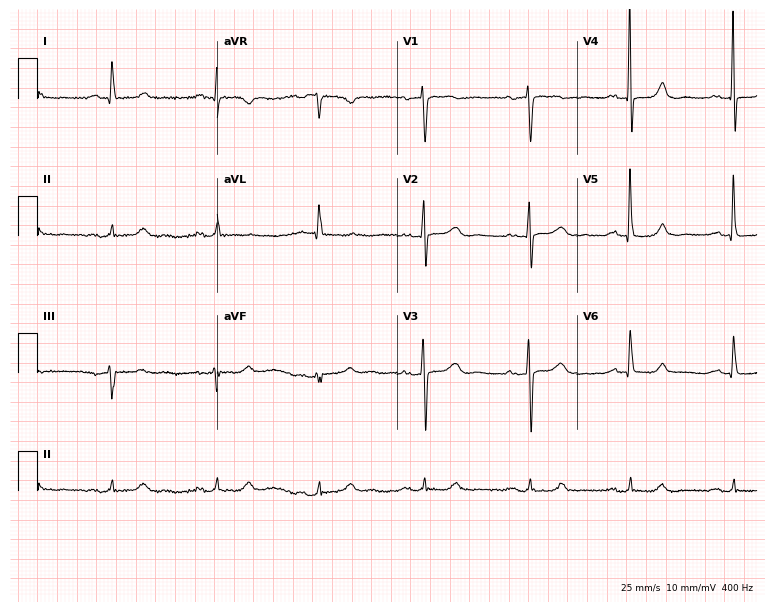
Electrocardiogram, a 70-year-old woman. Of the six screened findings (first-degree AV block, right bundle branch block (RBBB), left bundle branch block (LBBB), sinus bradycardia, atrial fibrillation (AF), sinus tachycardia), none is recorded.